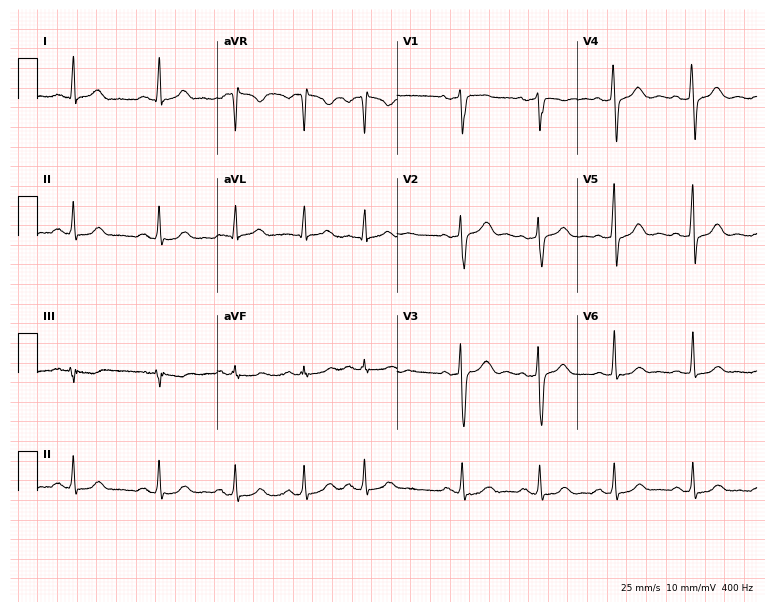
Electrocardiogram, a woman, 39 years old. Overall reading on record: normal ECG.